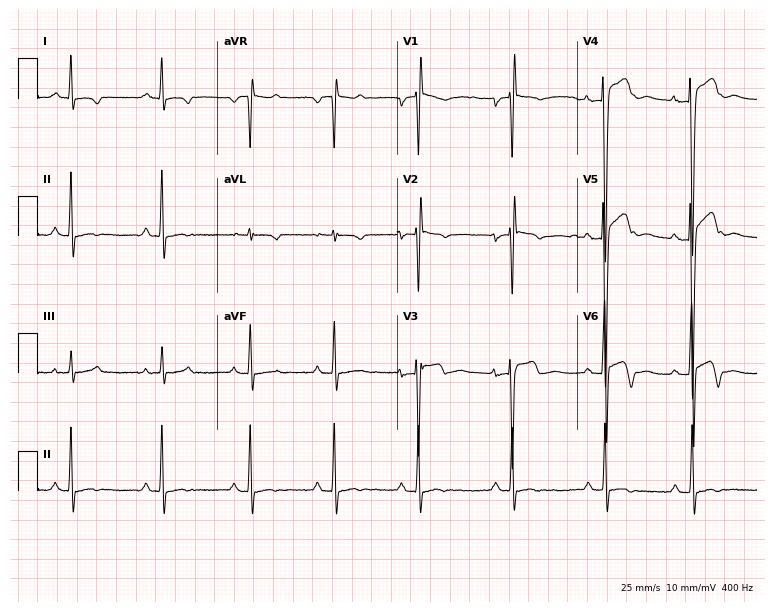
Standard 12-lead ECG recorded from a 21-year-old man (7.3-second recording at 400 Hz). None of these six findings is recorded: first-degree AV block, right bundle branch block (RBBB), left bundle branch block (LBBB), sinus bradycardia, atrial fibrillation (AF), sinus tachycardia. Only these six findings were labelled.